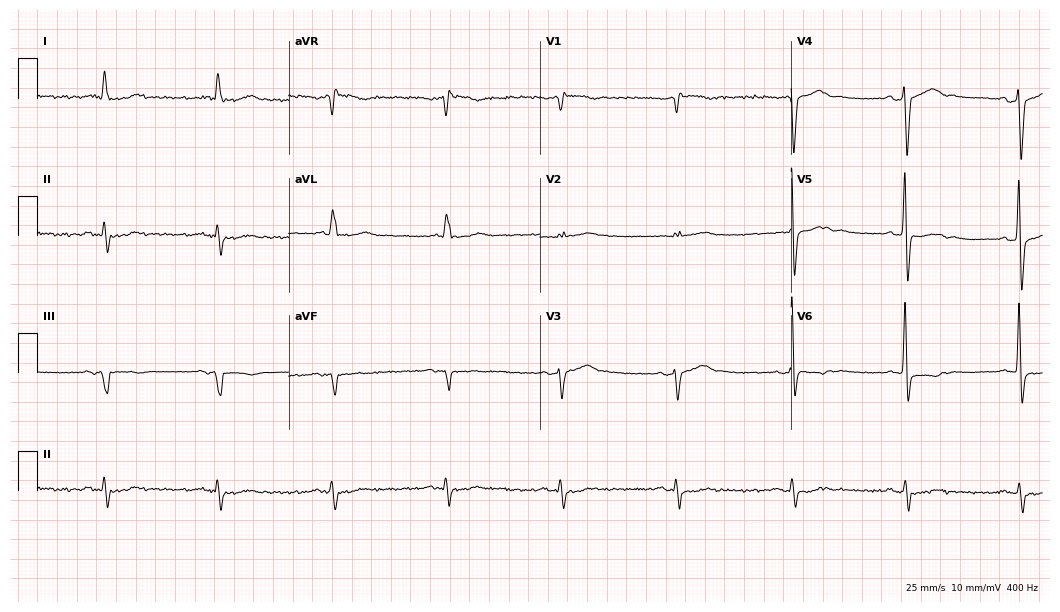
ECG — a male patient, 63 years old. Screened for six findings — first-degree AV block, right bundle branch block (RBBB), left bundle branch block (LBBB), sinus bradycardia, atrial fibrillation (AF), sinus tachycardia — none is recorded.